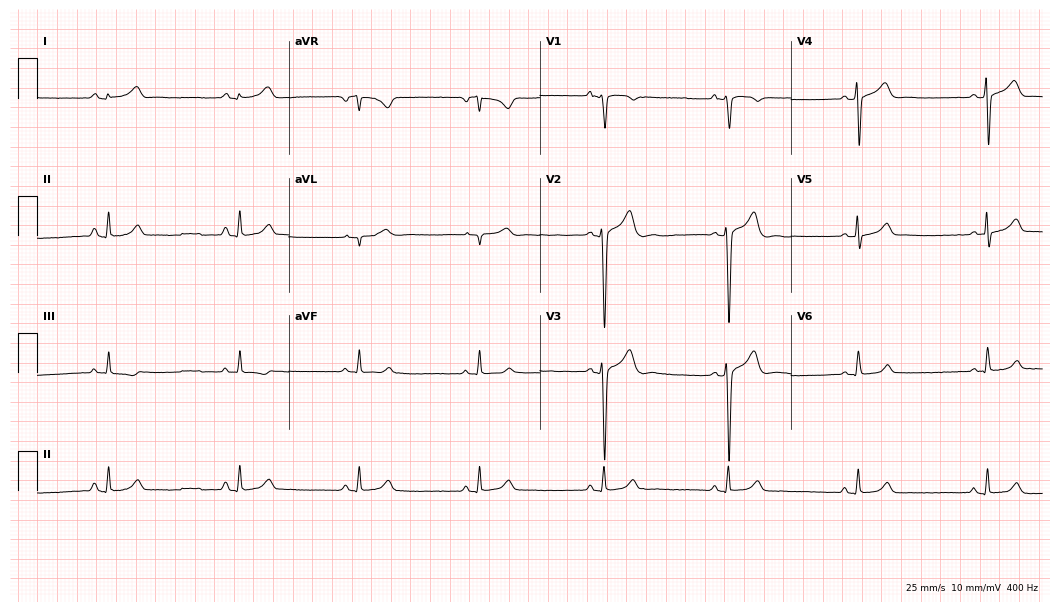
Electrocardiogram, a 42-year-old male. Overall reading on record: normal ECG.